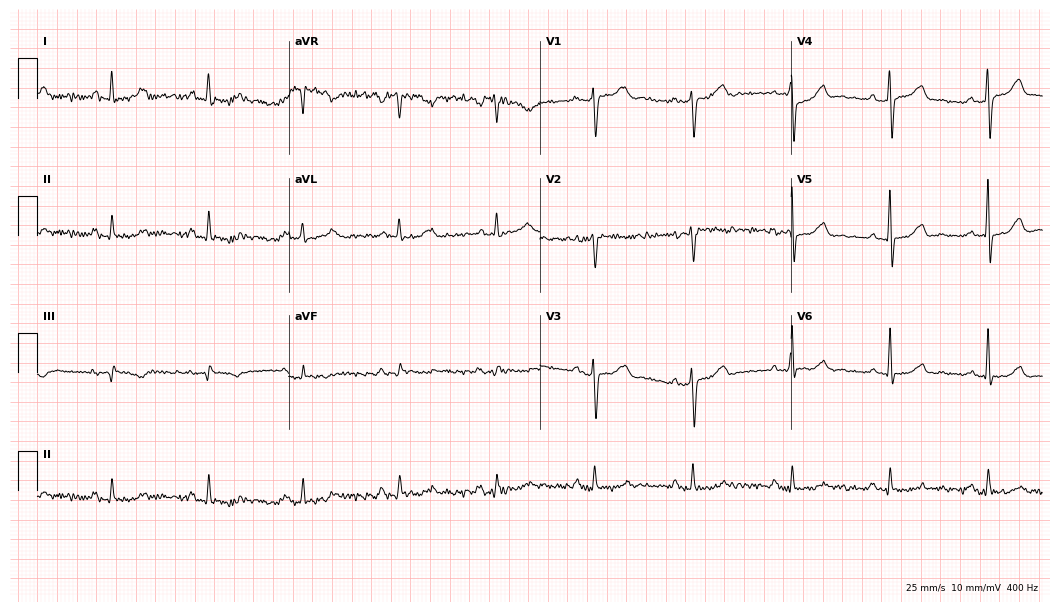
Resting 12-lead electrocardiogram (10.2-second recording at 400 Hz). Patient: a female, 76 years old. Read as a normal ECG.